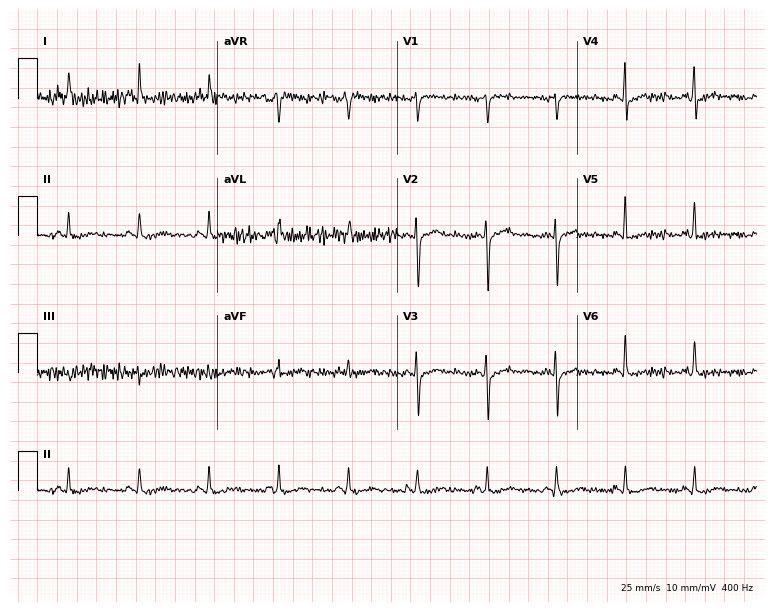
12-lead ECG from a 46-year-old female. Screened for six findings — first-degree AV block, right bundle branch block, left bundle branch block, sinus bradycardia, atrial fibrillation, sinus tachycardia — none is recorded.